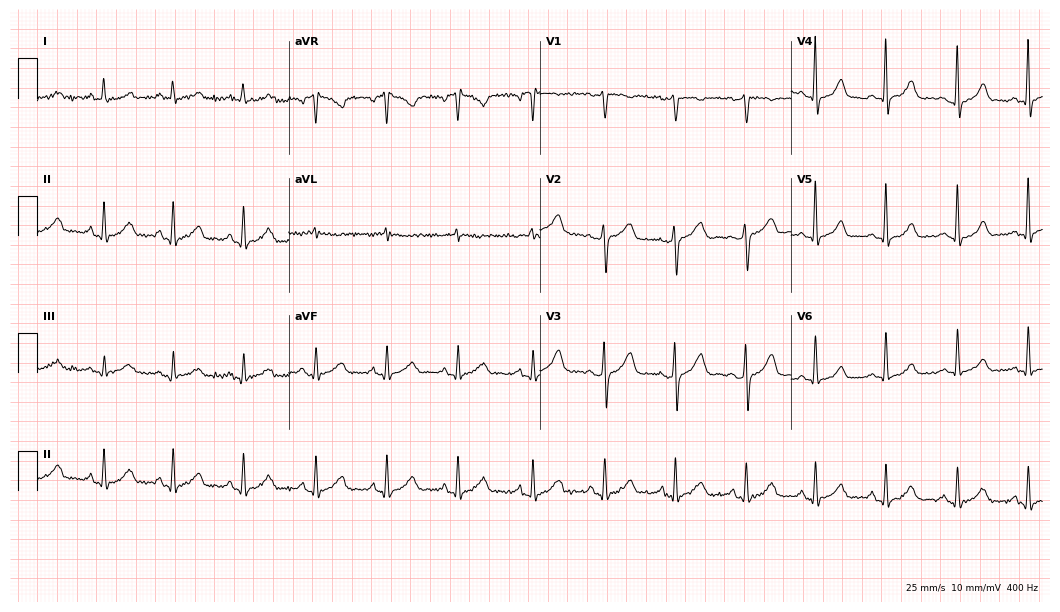
Resting 12-lead electrocardiogram (10.2-second recording at 400 Hz). Patient: a female, 53 years old. Read as a normal ECG.